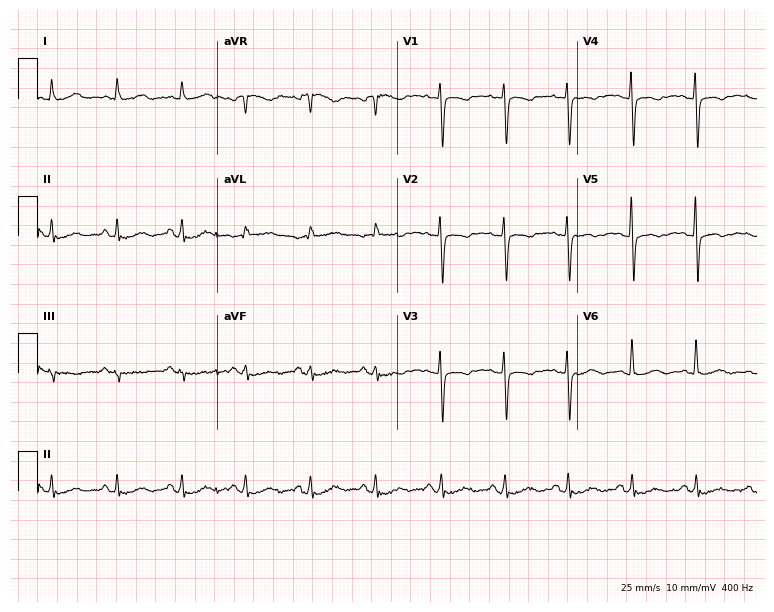
Standard 12-lead ECG recorded from a woman, 59 years old. None of these six findings is recorded: first-degree AV block, right bundle branch block, left bundle branch block, sinus bradycardia, atrial fibrillation, sinus tachycardia.